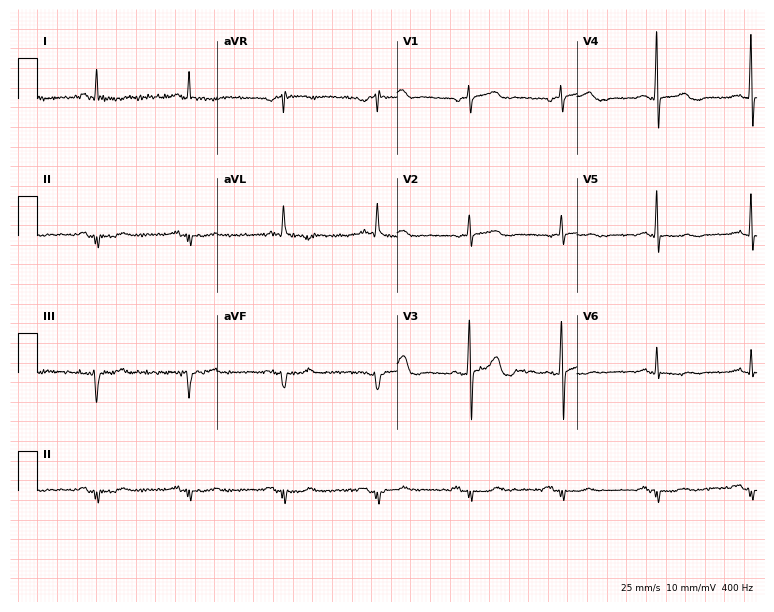
Electrocardiogram, a male patient, 76 years old. Of the six screened findings (first-degree AV block, right bundle branch block, left bundle branch block, sinus bradycardia, atrial fibrillation, sinus tachycardia), none is recorded.